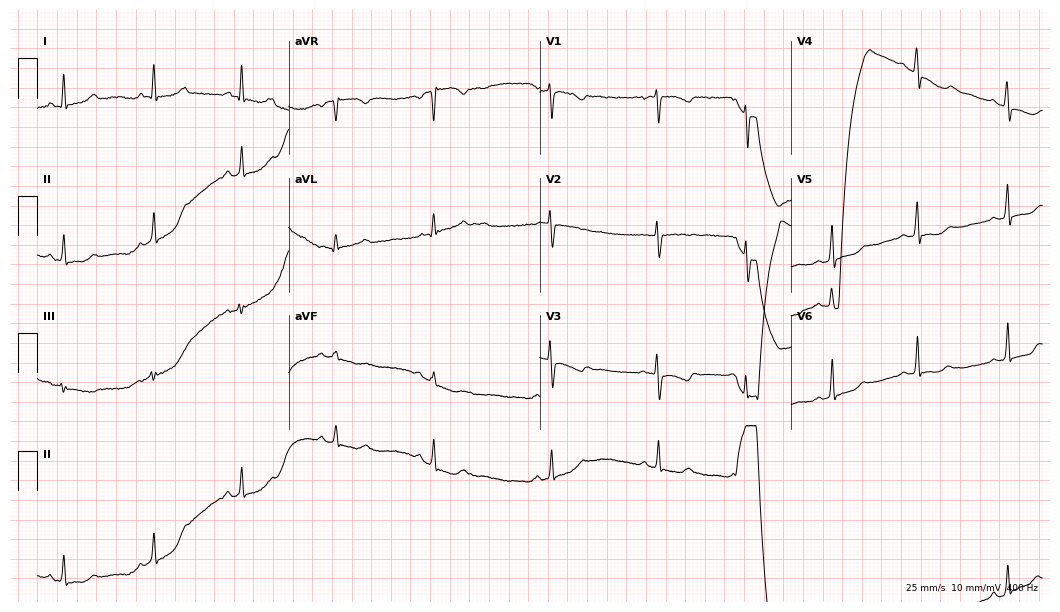
ECG (10.2-second recording at 400 Hz) — a 53-year-old female. Screened for six findings — first-degree AV block, right bundle branch block, left bundle branch block, sinus bradycardia, atrial fibrillation, sinus tachycardia — none is recorded.